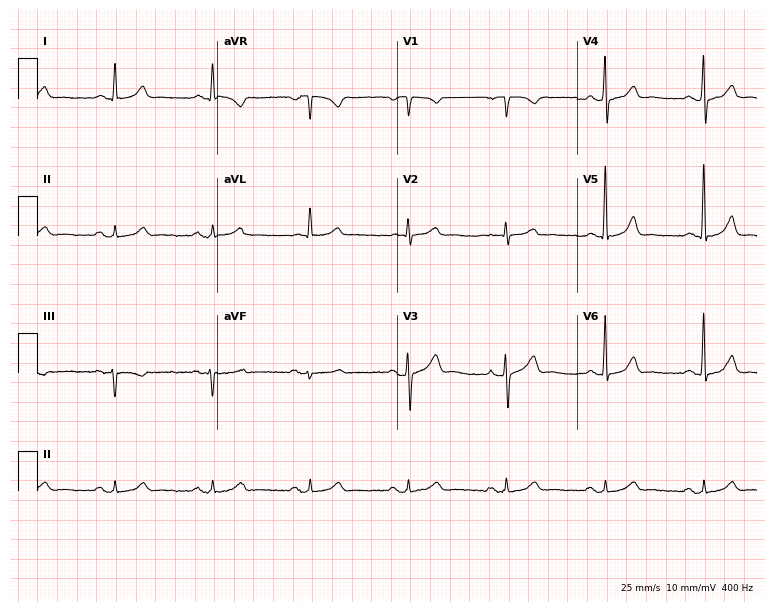
ECG (7.3-second recording at 400 Hz) — a man, 73 years old. Labelled as a normal ECG.